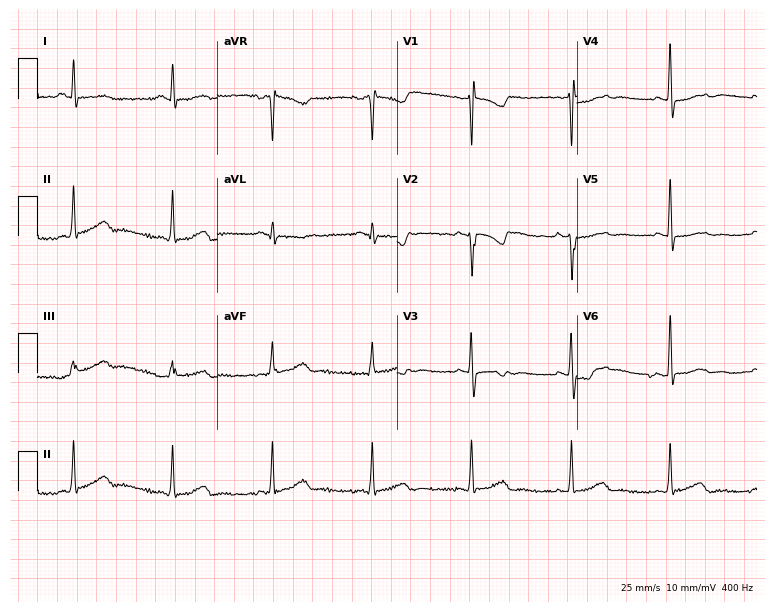
Electrocardiogram, a woman, 55 years old. Of the six screened findings (first-degree AV block, right bundle branch block (RBBB), left bundle branch block (LBBB), sinus bradycardia, atrial fibrillation (AF), sinus tachycardia), none is recorded. Only these six findings were labelled.